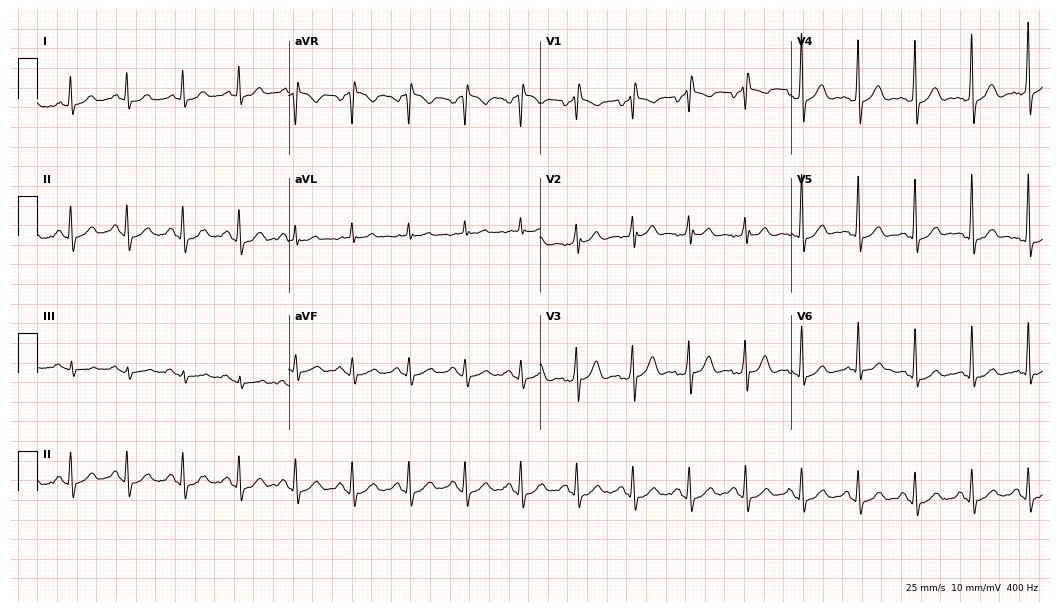
Resting 12-lead electrocardiogram. Patient: a male, 74 years old. None of these six findings is recorded: first-degree AV block, right bundle branch block, left bundle branch block, sinus bradycardia, atrial fibrillation, sinus tachycardia. Findings outside these six are not listed.